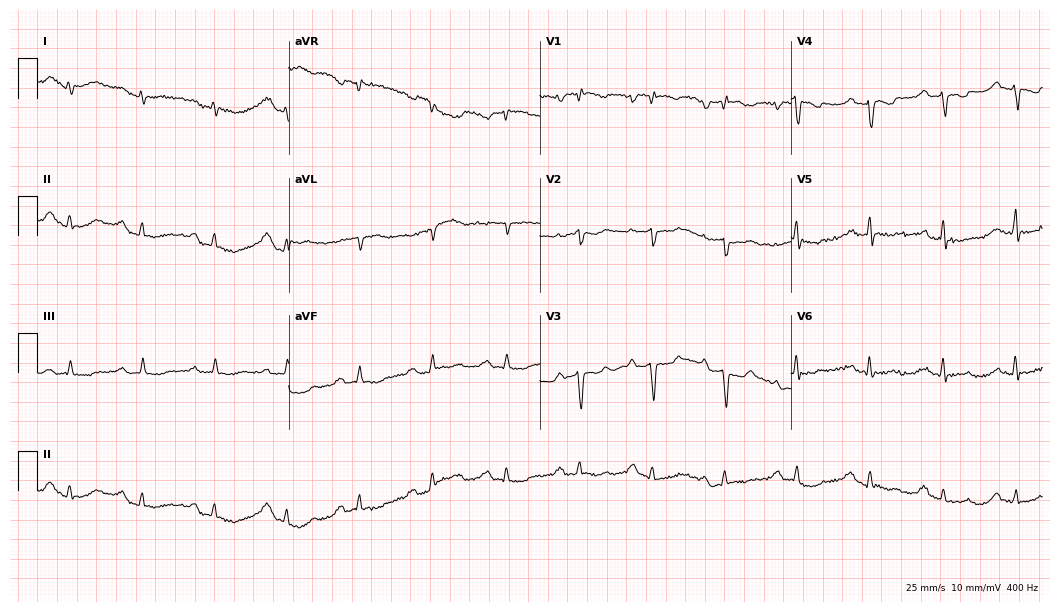
ECG — a 71-year-old male patient. Screened for six findings — first-degree AV block, right bundle branch block, left bundle branch block, sinus bradycardia, atrial fibrillation, sinus tachycardia — none is recorded.